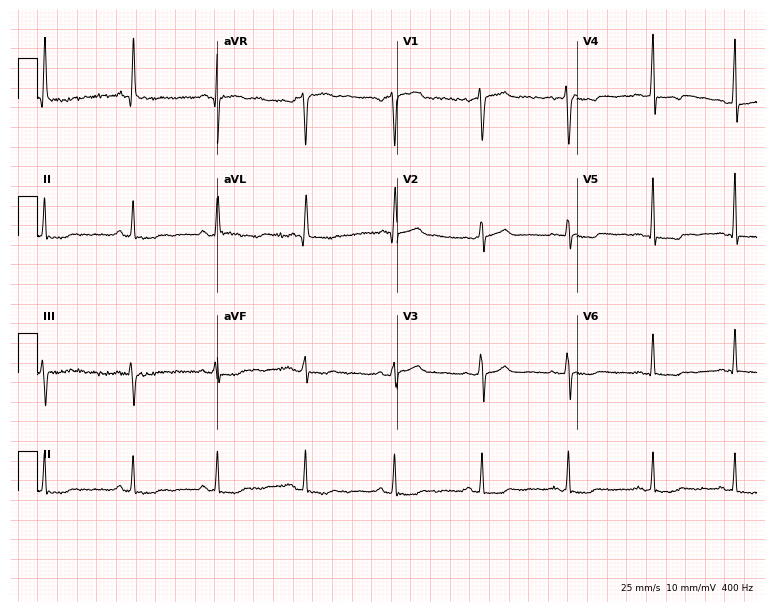
12-lead ECG from a 51-year-old female patient. No first-degree AV block, right bundle branch block, left bundle branch block, sinus bradycardia, atrial fibrillation or sinus tachycardia recorded for this tracing.